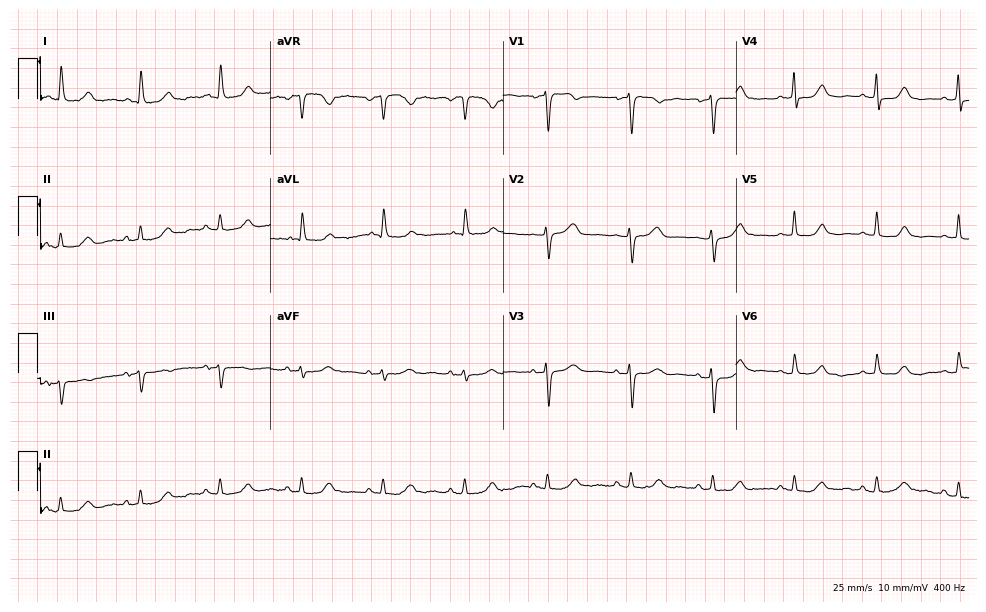
12-lead ECG from a female, 67 years old. No first-degree AV block, right bundle branch block (RBBB), left bundle branch block (LBBB), sinus bradycardia, atrial fibrillation (AF) or sinus tachycardia recorded for this tracing.